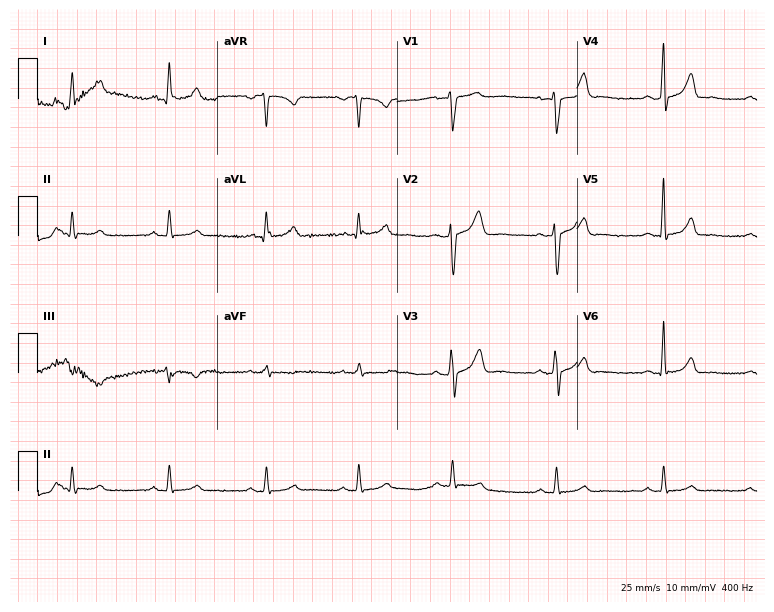
12-lead ECG from a male, 40 years old. No first-degree AV block, right bundle branch block (RBBB), left bundle branch block (LBBB), sinus bradycardia, atrial fibrillation (AF) or sinus tachycardia recorded for this tracing. Findings outside these six are not listed.